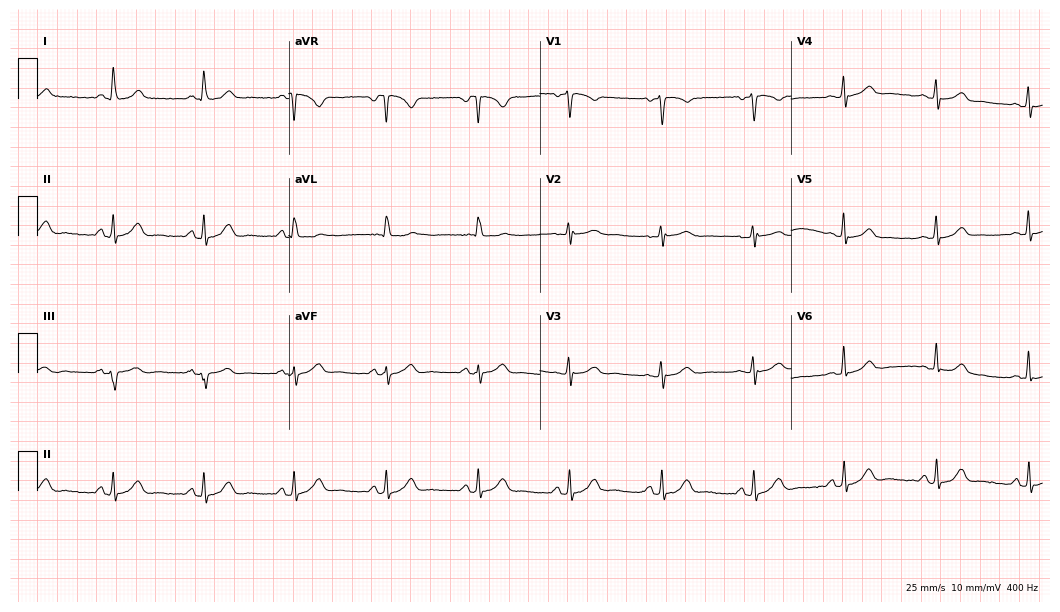
ECG (10.2-second recording at 400 Hz) — a woman, 63 years old. Labelled as a normal ECG.